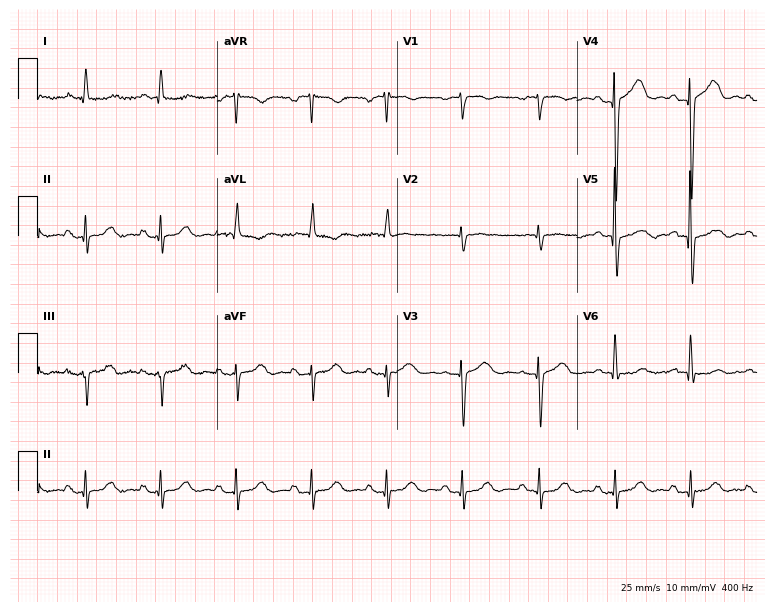
Electrocardiogram (7.3-second recording at 400 Hz), a female patient, 83 years old. Of the six screened findings (first-degree AV block, right bundle branch block, left bundle branch block, sinus bradycardia, atrial fibrillation, sinus tachycardia), none is recorded. Other findings, if any, are not listed.